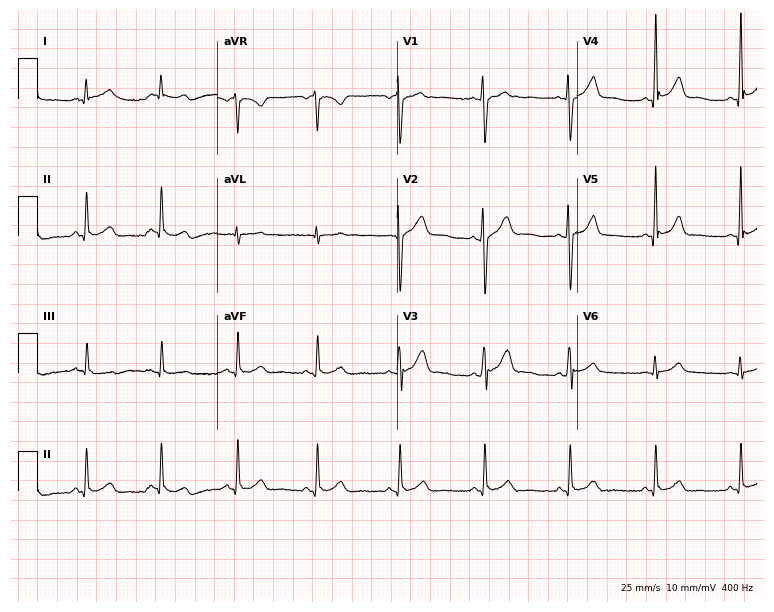
12-lead ECG from a male patient, 31 years old. Recorded interpretation: within normal limits.